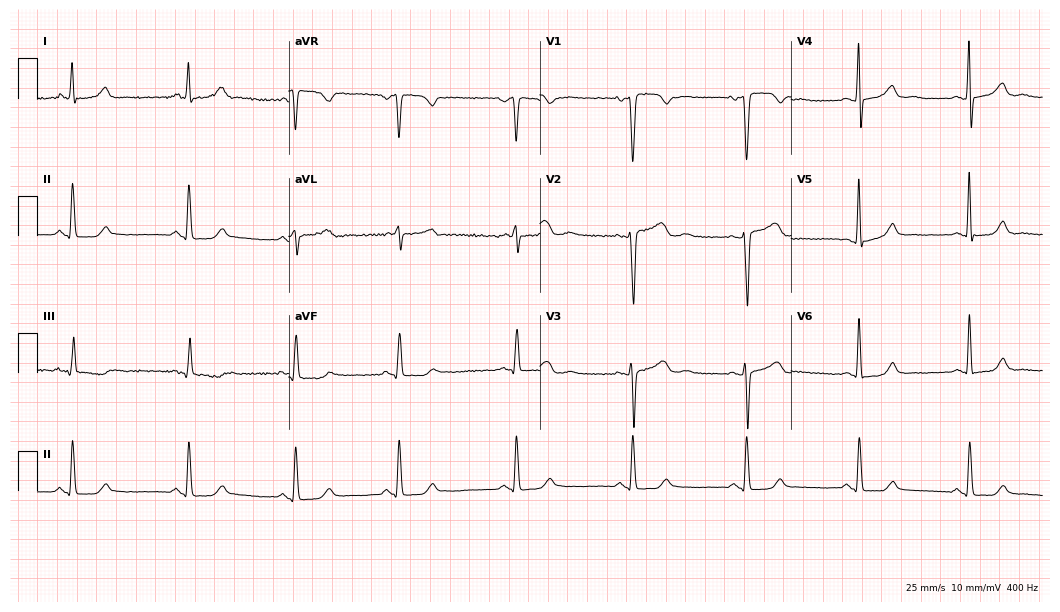
Resting 12-lead electrocardiogram (10.2-second recording at 400 Hz). Patient: a woman, 45 years old. Read as a normal ECG.